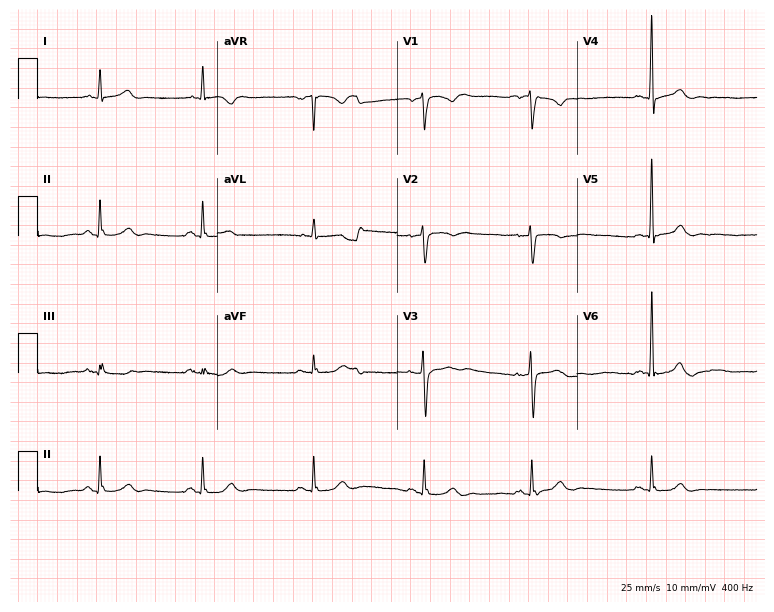
Resting 12-lead electrocardiogram (7.3-second recording at 400 Hz). Patient: a man, 49 years old. Read as a normal ECG.